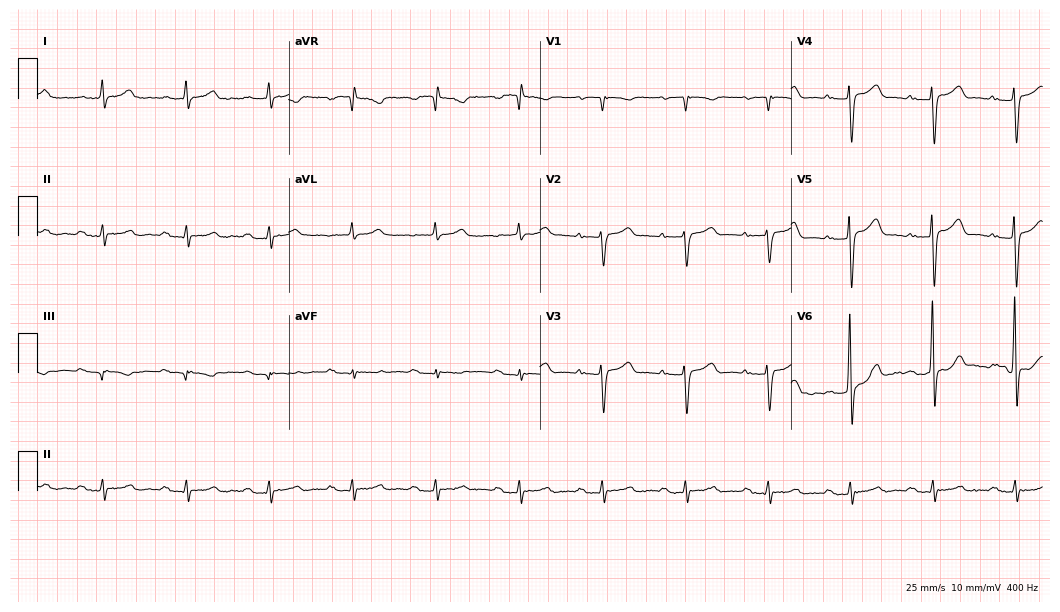
12-lead ECG from a male patient, 83 years old (10.2-second recording at 400 Hz). Shows first-degree AV block.